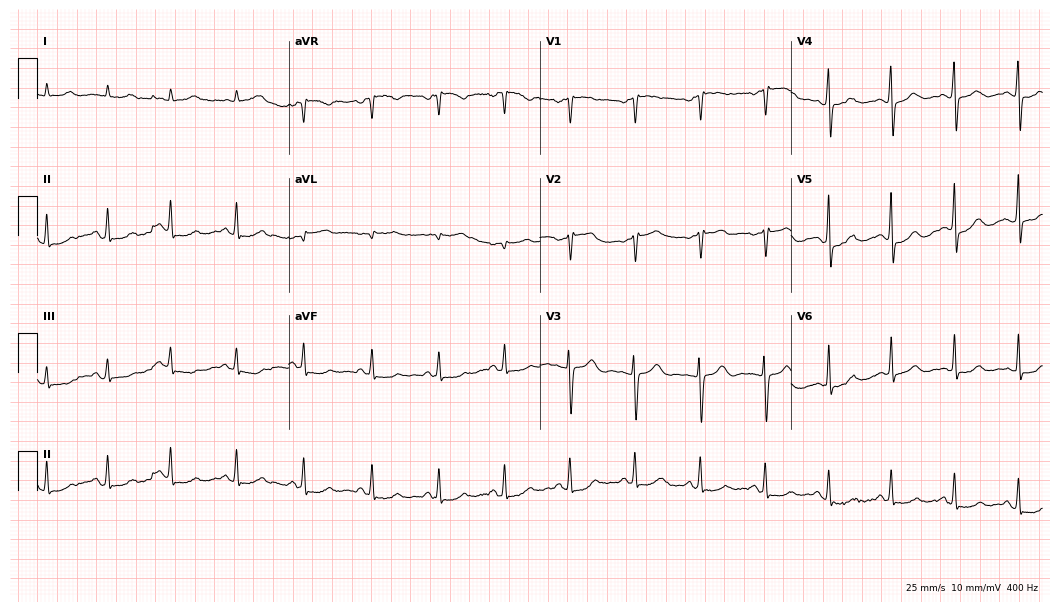
12-lead ECG from a 34-year-old woman. Screened for six findings — first-degree AV block, right bundle branch block, left bundle branch block, sinus bradycardia, atrial fibrillation, sinus tachycardia — none is recorded. Other findings, if any, are not listed.